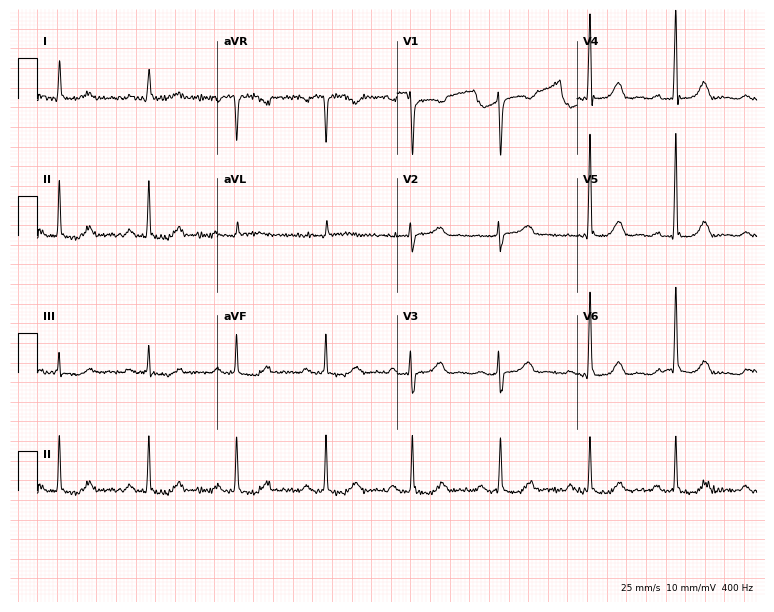
Standard 12-lead ECG recorded from a female patient, 70 years old (7.3-second recording at 400 Hz). Read as a normal ECG.